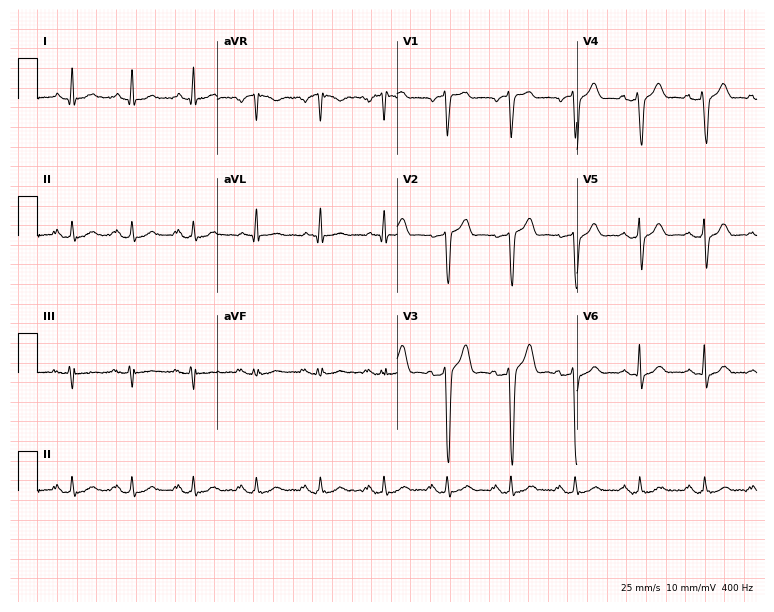
Resting 12-lead electrocardiogram. Patient: a 57-year-old male. None of these six findings is recorded: first-degree AV block, right bundle branch block (RBBB), left bundle branch block (LBBB), sinus bradycardia, atrial fibrillation (AF), sinus tachycardia.